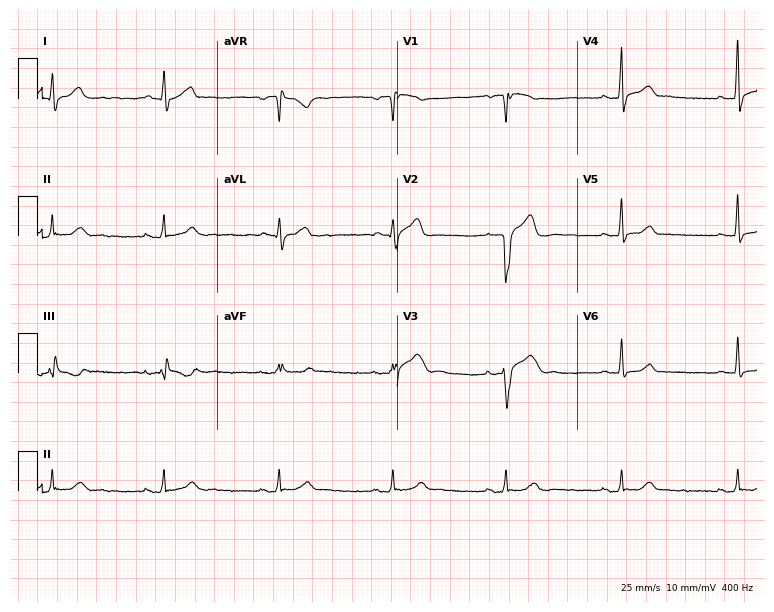
ECG (7.3-second recording at 400 Hz) — a male patient, 35 years old. Screened for six findings — first-degree AV block, right bundle branch block (RBBB), left bundle branch block (LBBB), sinus bradycardia, atrial fibrillation (AF), sinus tachycardia — none is recorded.